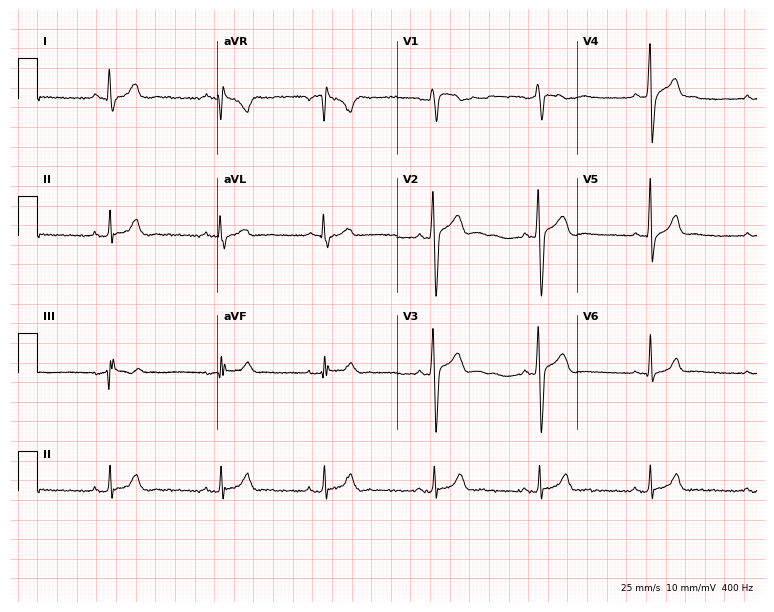
12-lead ECG (7.3-second recording at 400 Hz) from a male patient, 20 years old. Labelled as a normal ECG.